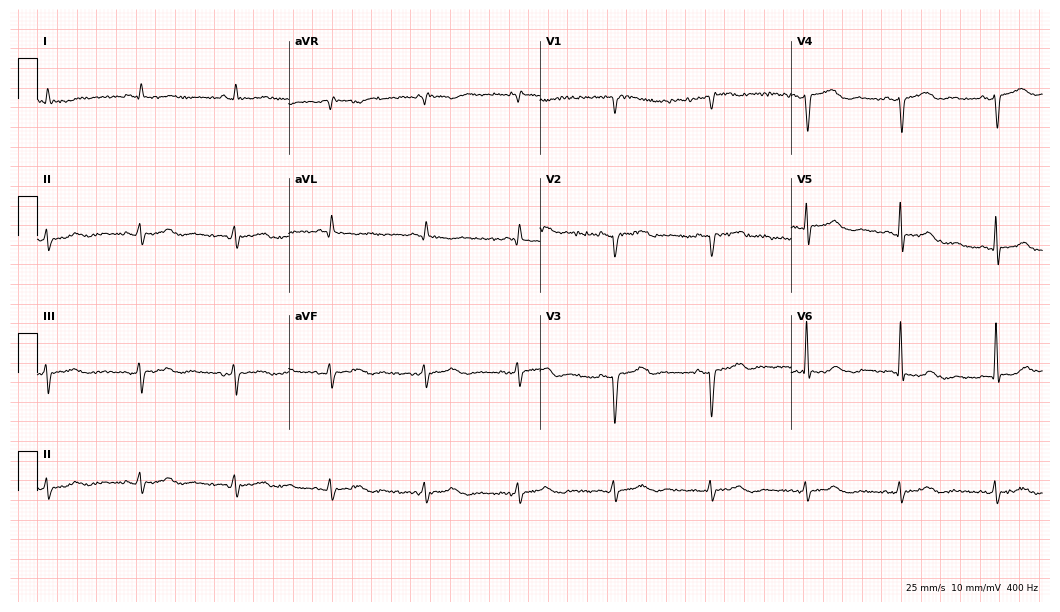
12-lead ECG from a man, 78 years old. No first-degree AV block, right bundle branch block (RBBB), left bundle branch block (LBBB), sinus bradycardia, atrial fibrillation (AF) or sinus tachycardia recorded for this tracing. Other findings, if any, are not listed.